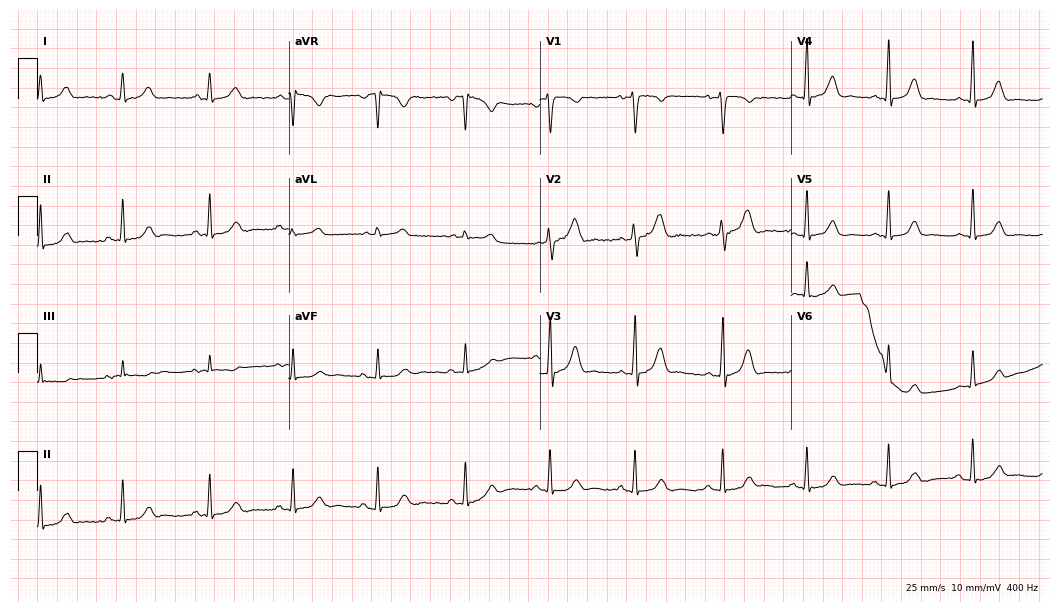
ECG (10.2-second recording at 400 Hz) — a woman, 30 years old. Screened for six findings — first-degree AV block, right bundle branch block (RBBB), left bundle branch block (LBBB), sinus bradycardia, atrial fibrillation (AF), sinus tachycardia — none is recorded.